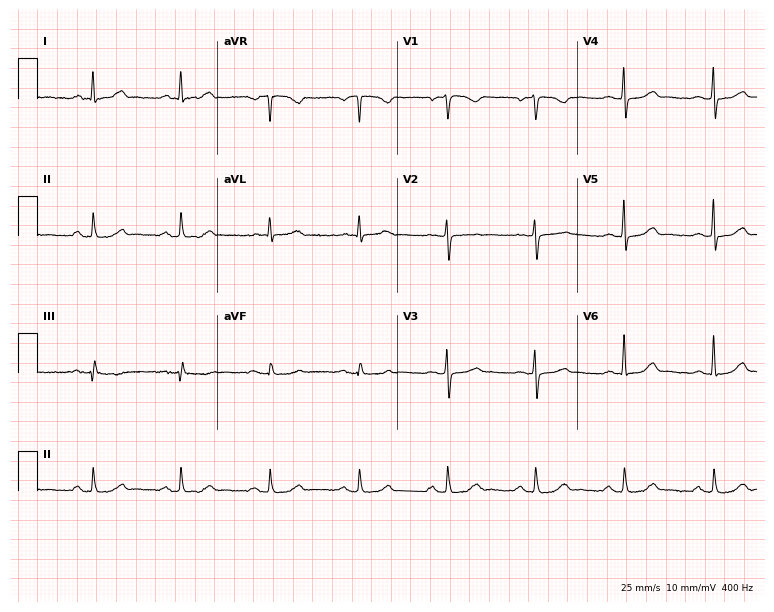
12-lead ECG from a 49-year-old female (7.3-second recording at 400 Hz). Recorded interpretation: within normal limits.